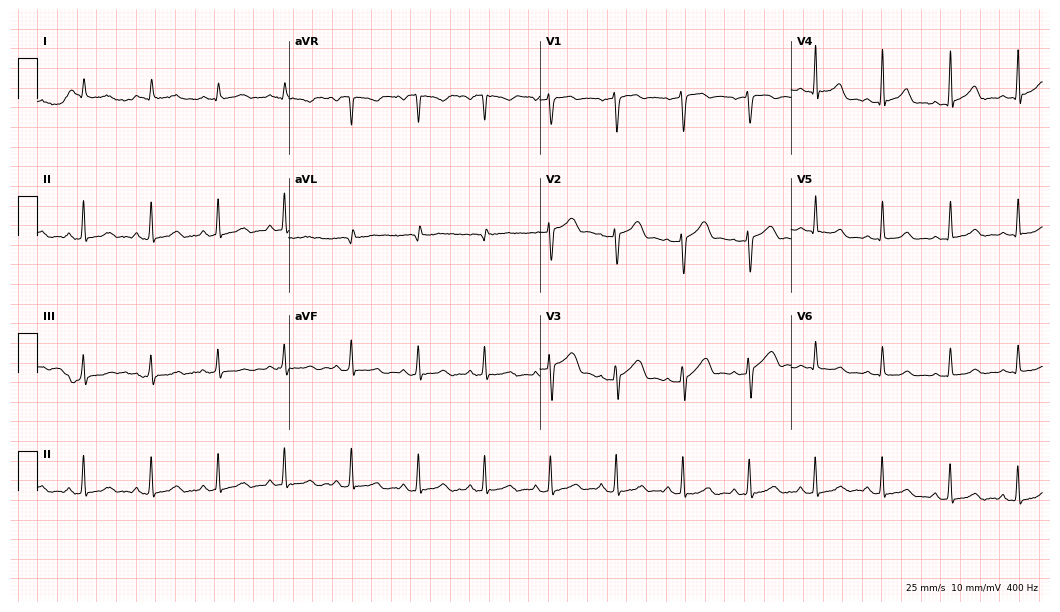
12-lead ECG from a 47-year-old woman. Recorded interpretation: within normal limits.